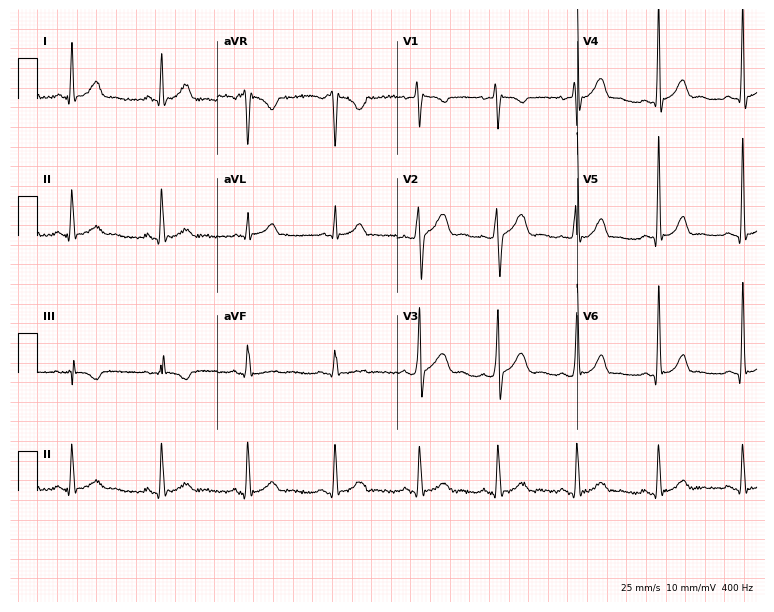
12-lead ECG from a male patient, 35 years old. Recorded interpretation: within normal limits.